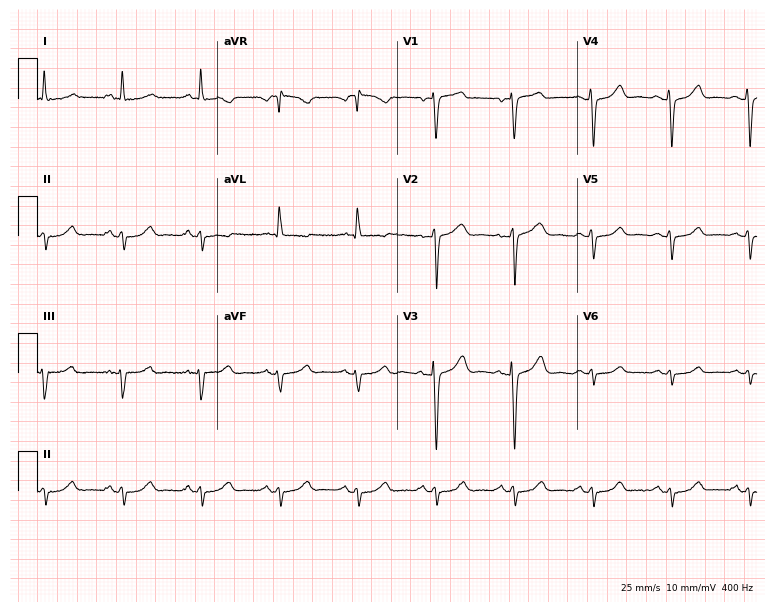
ECG — a man, 55 years old. Screened for six findings — first-degree AV block, right bundle branch block, left bundle branch block, sinus bradycardia, atrial fibrillation, sinus tachycardia — none is recorded. Only these six findings were labelled.